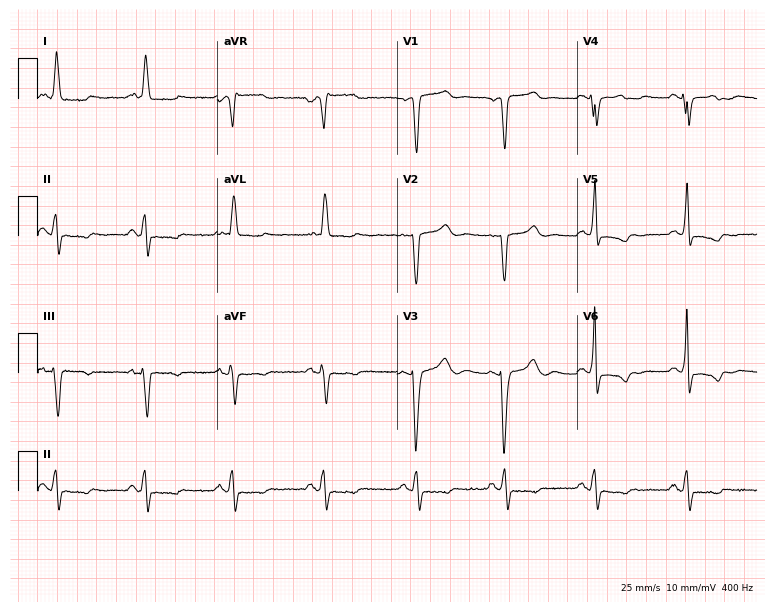
12-lead ECG from a woman, 60 years old (7.3-second recording at 400 Hz). No first-degree AV block, right bundle branch block, left bundle branch block, sinus bradycardia, atrial fibrillation or sinus tachycardia recorded for this tracing. Findings outside these six are not listed.